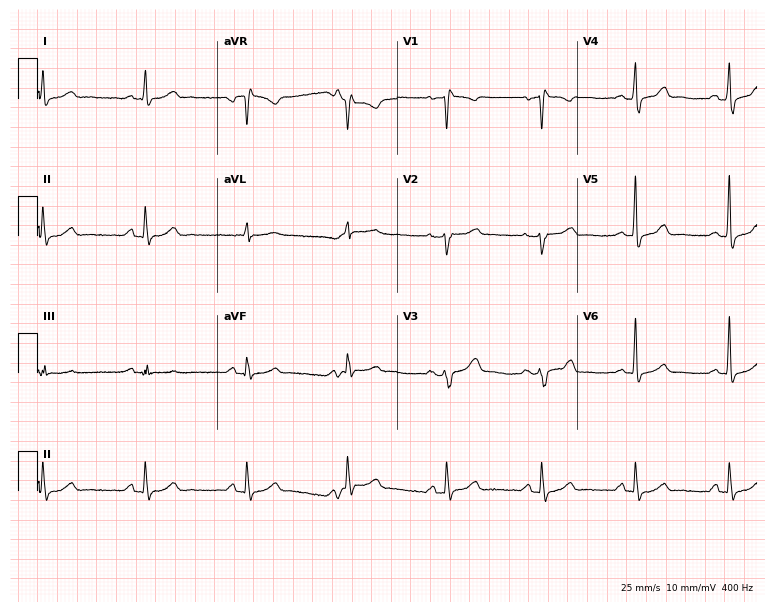
12-lead ECG from a 58-year-old man. No first-degree AV block, right bundle branch block, left bundle branch block, sinus bradycardia, atrial fibrillation or sinus tachycardia recorded for this tracing.